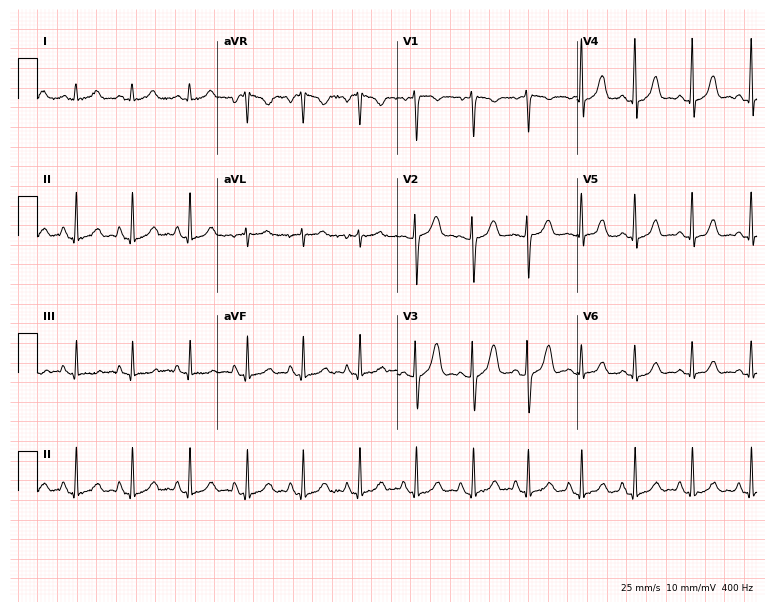
Resting 12-lead electrocardiogram (7.3-second recording at 400 Hz). Patient: a 27-year-old female. None of these six findings is recorded: first-degree AV block, right bundle branch block, left bundle branch block, sinus bradycardia, atrial fibrillation, sinus tachycardia.